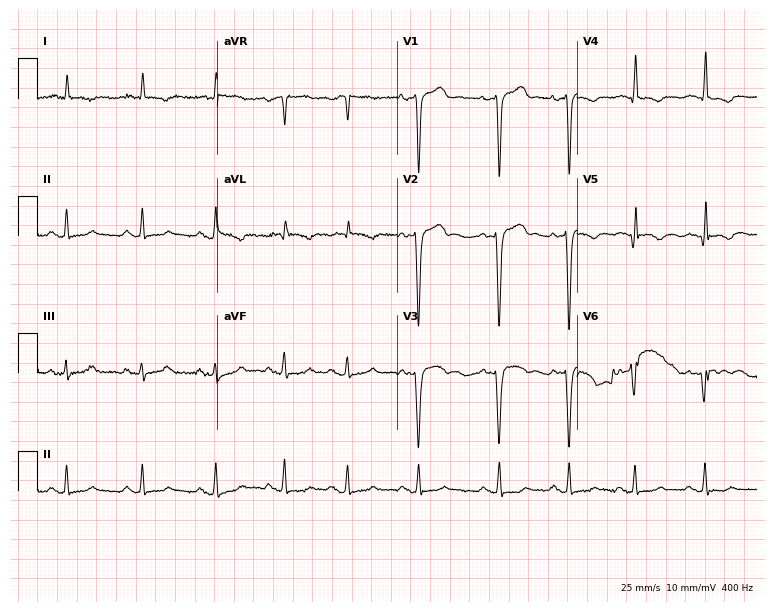
12-lead ECG from an 83-year-old female patient (7.3-second recording at 400 Hz). No first-degree AV block, right bundle branch block, left bundle branch block, sinus bradycardia, atrial fibrillation or sinus tachycardia recorded for this tracing. Only these six findings were labelled.